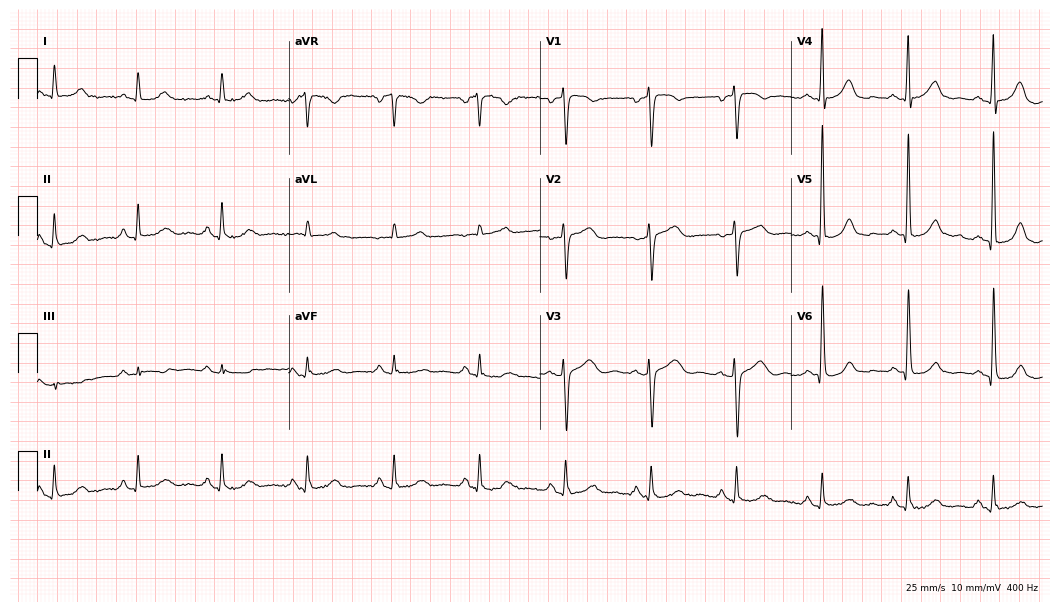
12-lead ECG from a female patient, 79 years old. Screened for six findings — first-degree AV block, right bundle branch block (RBBB), left bundle branch block (LBBB), sinus bradycardia, atrial fibrillation (AF), sinus tachycardia — none is recorded. Only these six findings were labelled.